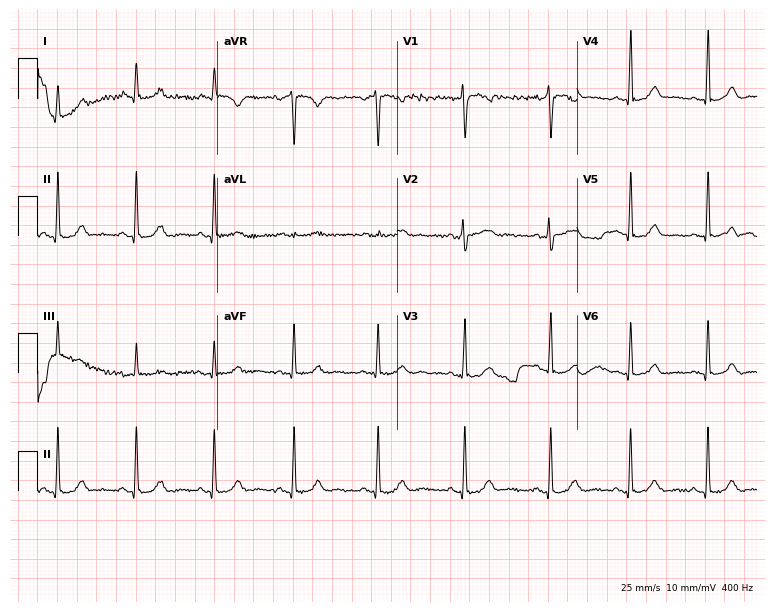
Standard 12-lead ECG recorded from a 22-year-old female patient. Read as a normal ECG.